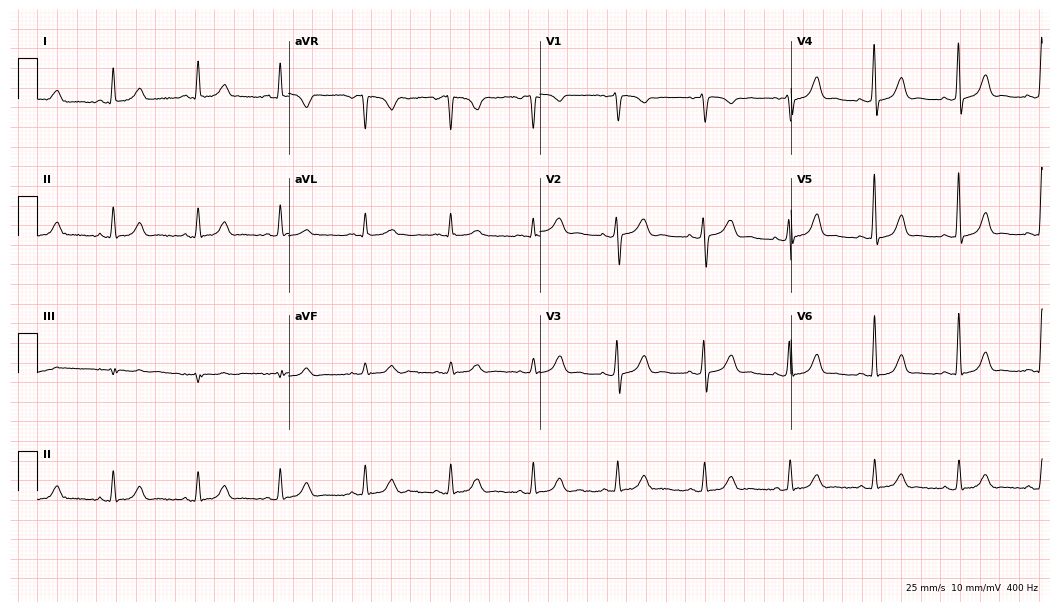
Electrocardiogram (10.2-second recording at 400 Hz), a woman, 60 years old. Overall reading on record: normal ECG.